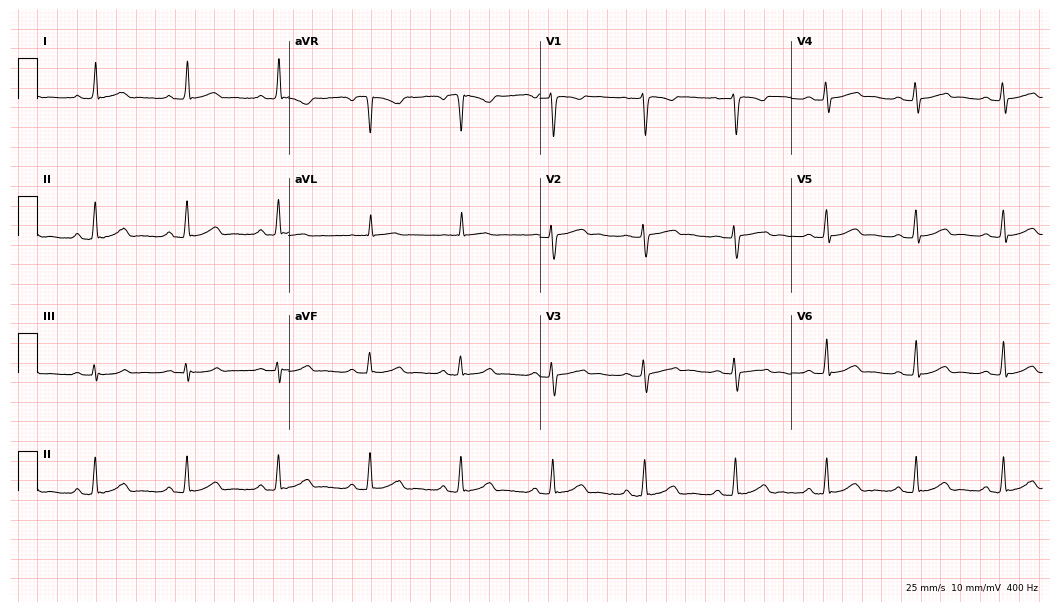
12-lead ECG (10.2-second recording at 400 Hz) from a 58-year-old female patient. Labelled as a normal ECG.